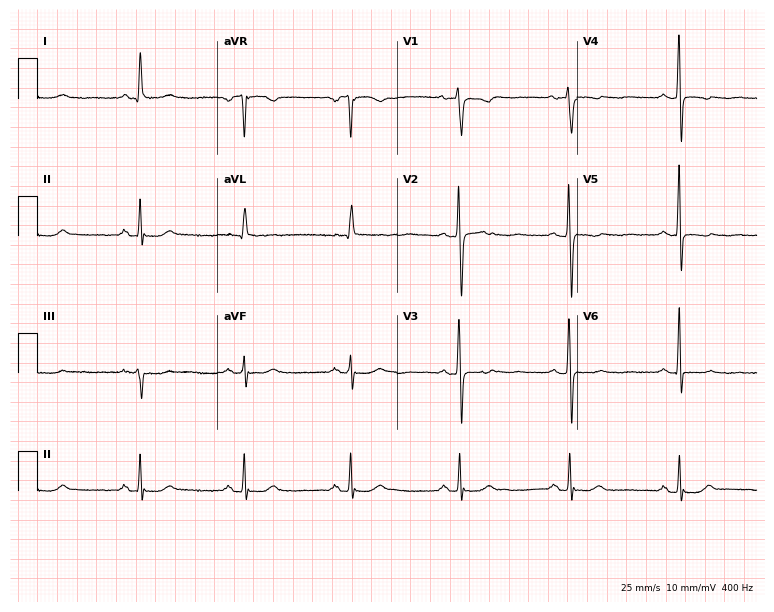
12-lead ECG (7.3-second recording at 400 Hz) from a 55-year-old female patient. Screened for six findings — first-degree AV block, right bundle branch block, left bundle branch block, sinus bradycardia, atrial fibrillation, sinus tachycardia — none is recorded. Only these six findings were labelled.